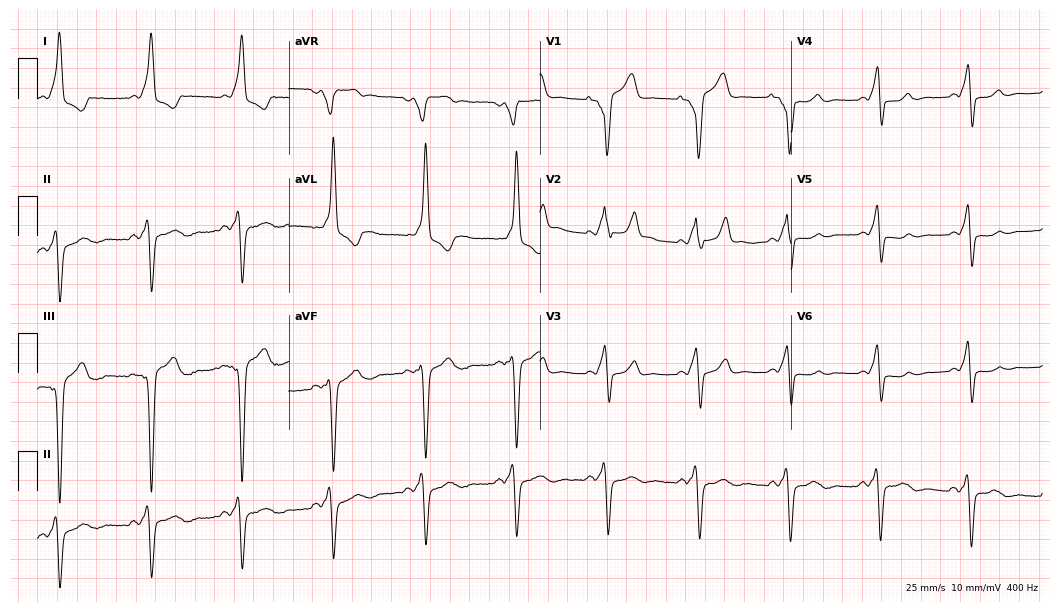
ECG (10.2-second recording at 400 Hz) — a 39-year-old male patient. Screened for six findings — first-degree AV block, right bundle branch block, left bundle branch block, sinus bradycardia, atrial fibrillation, sinus tachycardia — none is recorded. Only these six findings were labelled.